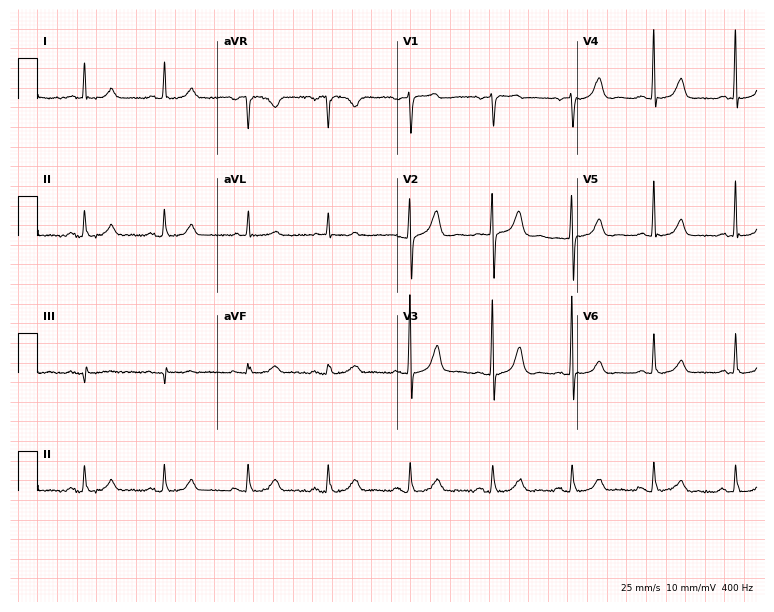
ECG — an 84-year-old female. Labelled as a normal ECG.